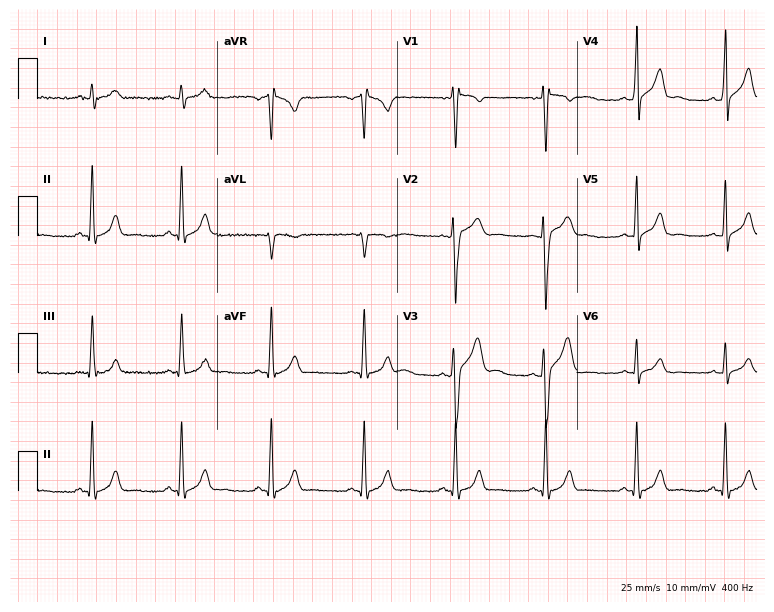
ECG (7.3-second recording at 400 Hz) — a man, 25 years old. Labelled as a normal ECG.